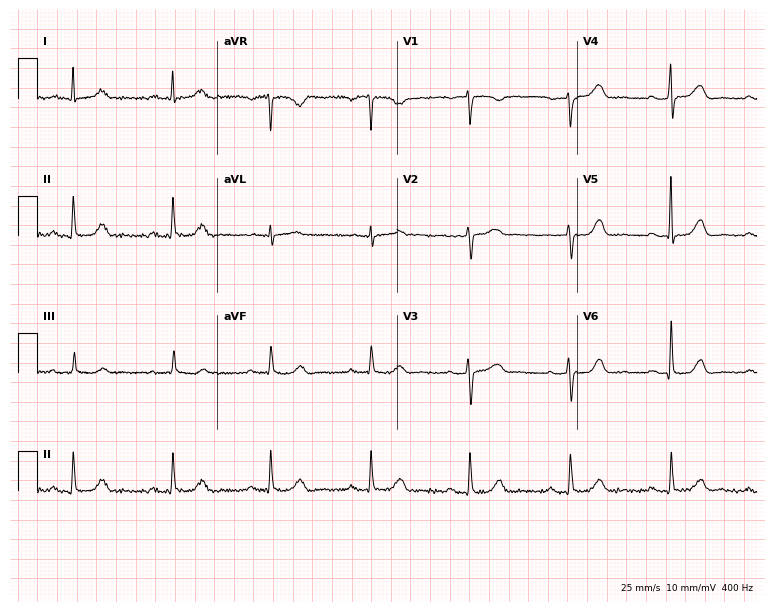
12-lead ECG from a woman, 55 years old. Recorded interpretation: within normal limits.